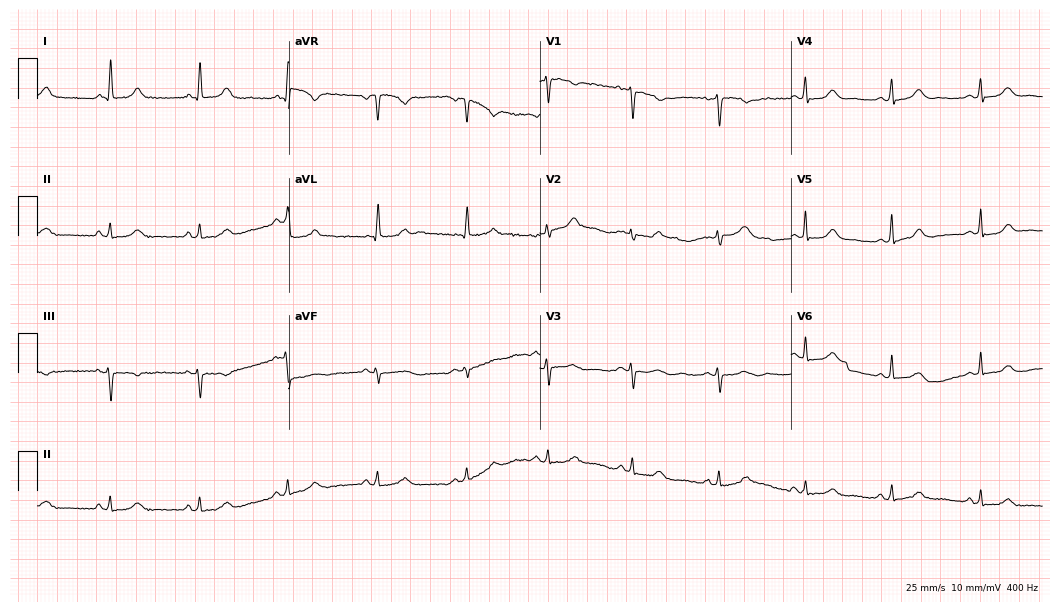
12-lead ECG from a female, 44 years old. Labelled as a normal ECG.